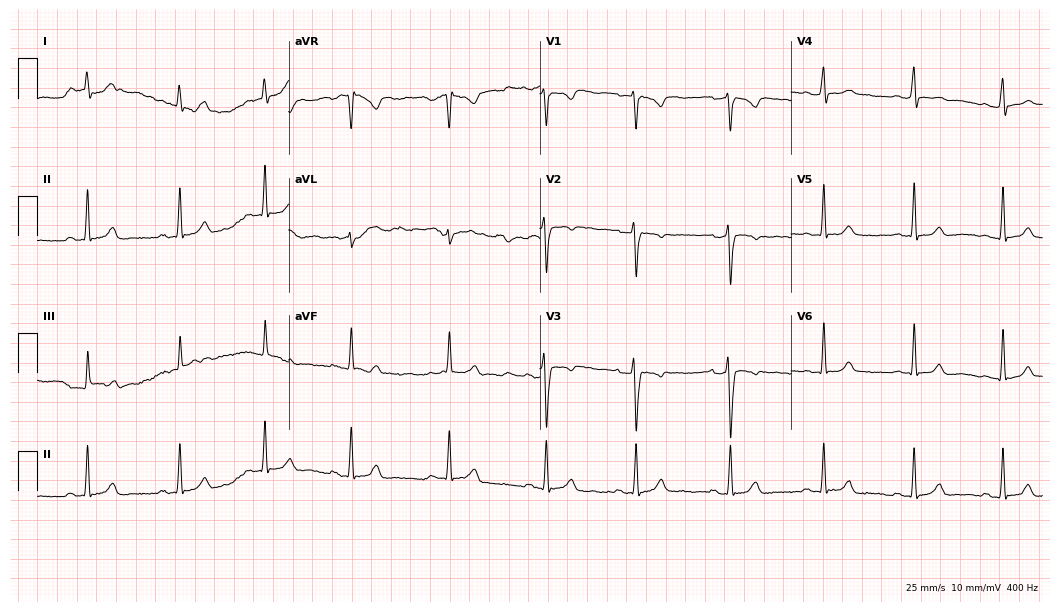
Resting 12-lead electrocardiogram (10.2-second recording at 400 Hz). Patient: an 18-year-old female. Read as a normal ECG.